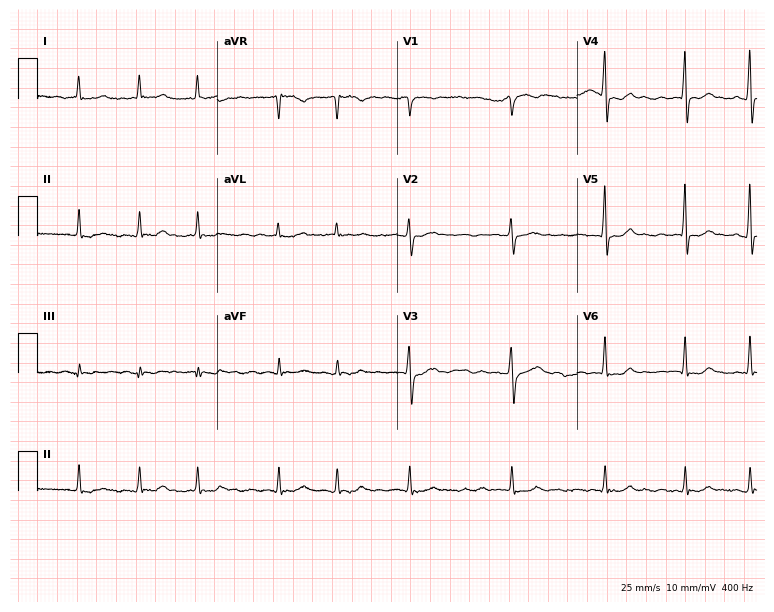
ECG (7.3-second recording at 400 Hz) — a 51-year-old man. Findings include atrial fibrillation (AF).